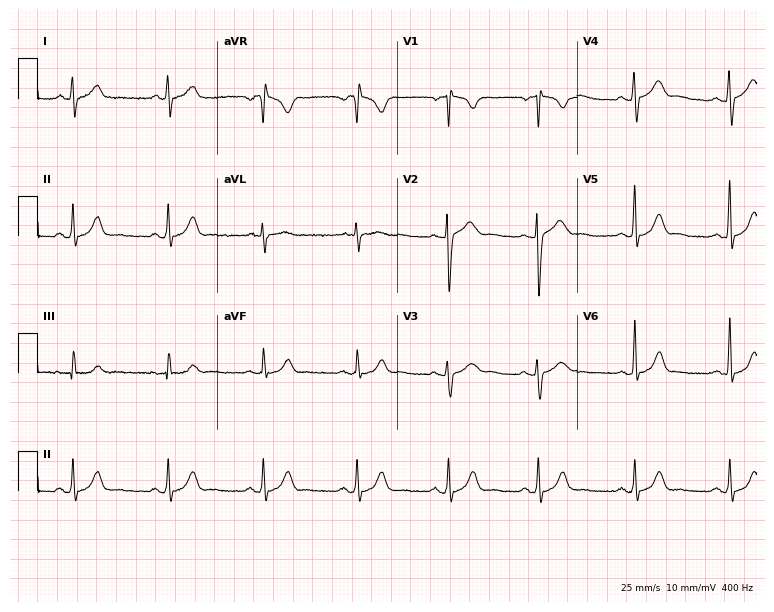
Resting 12-lead electrocardiogram (7.3-second recording at 400 Hz). Patient: a male, 25 years old. Read as a normal ECG.